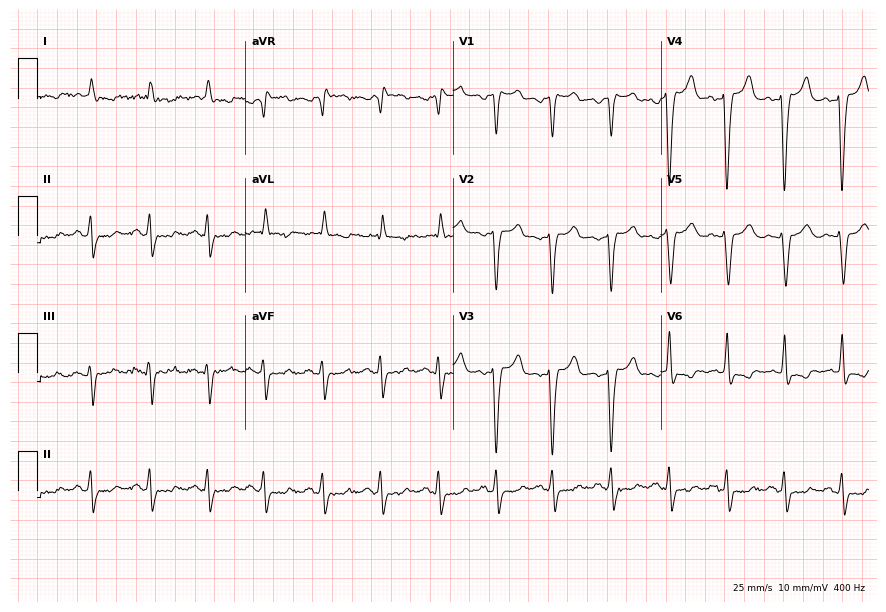
ECG (8.5-second recording at 400 Hz) — a male patient, 68 years old. Findings include left bundle branch block (LBBB), sinus tachycardia (a sinus rate of 100 beats per minute or more).